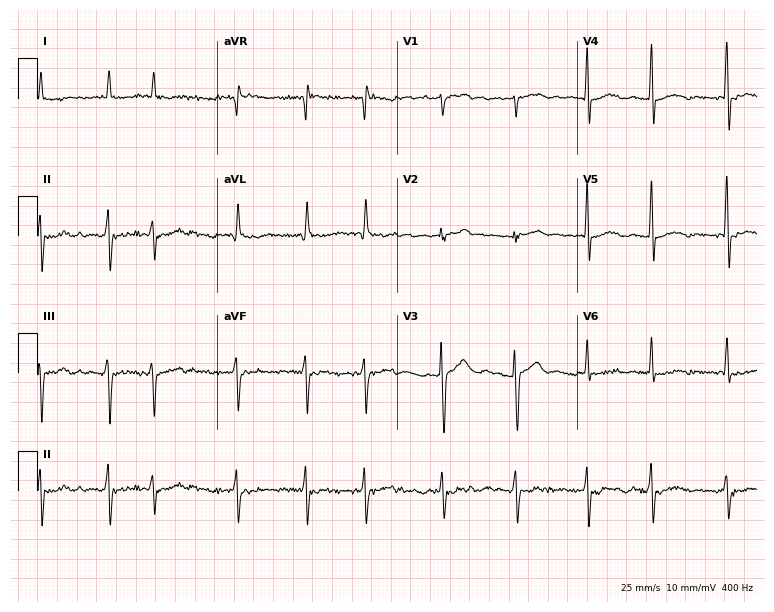
Electrocardiogram, a man, 78 years old. Interpretation includes atrial fibrillation (AF).